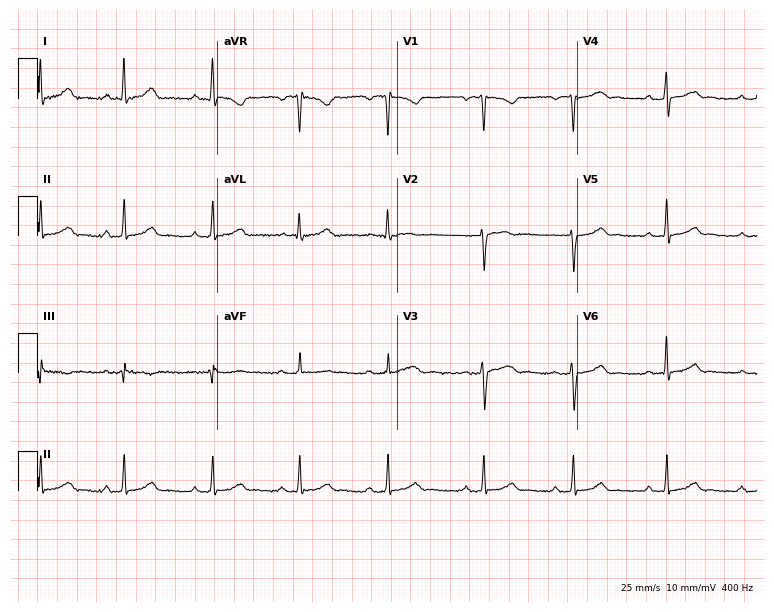
Electrocardiogram, a female, 34 years old. Overall reading on record: normal ECG.